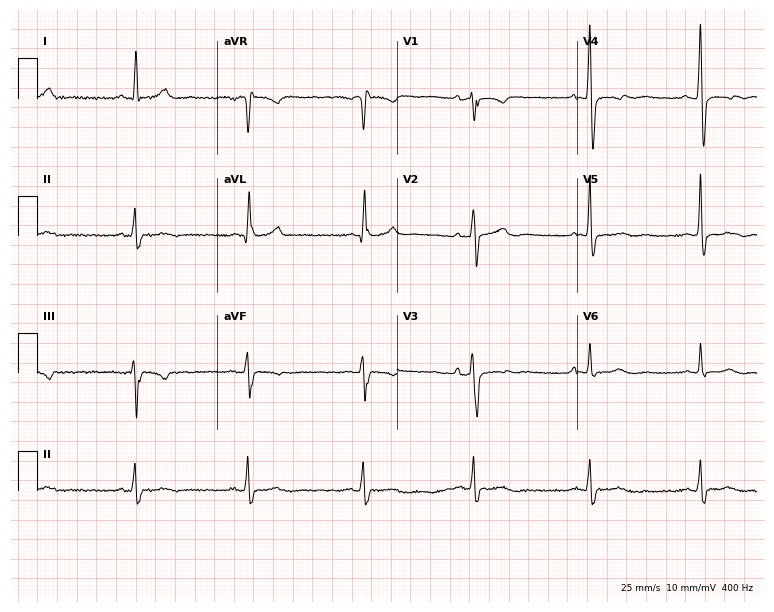
Resting 12-lead electrocardiogram. Patient: a man, 66 years old. None of these six findings is recorded: first-degree AV block, right bundle branch block, left bundle branch block, sinus bradycardia, atrial fibrillation, sinus tachycardia.